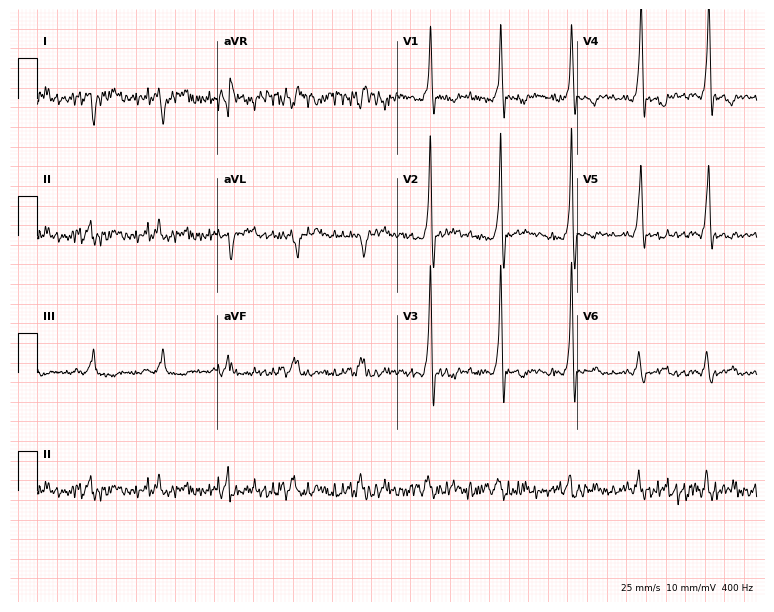
Resting 12-lead electrocardiogram (7.3-second recording at 400 Hz). Patient: a man, 30 years old. None of these six findings is recorded: first-degree AV block, right bundle branch block, left bundle branch block, sinus bradycardia, atrial fibrillation, sinus tachycardia. Only these six findings were labelled.